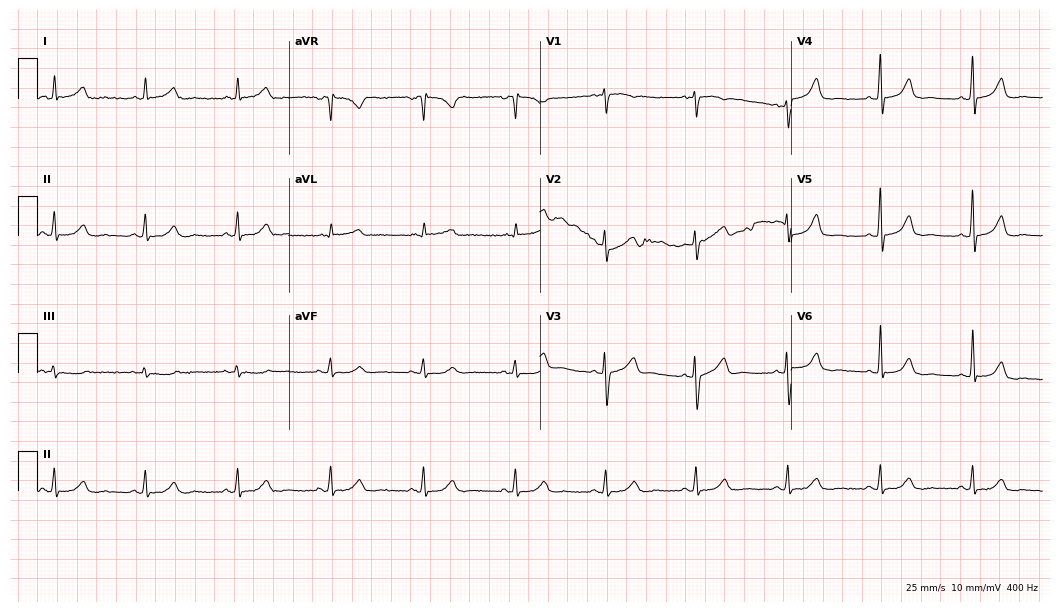
12-lead ECG from an 84-year-old male. Recorded interpretation: within normal limits.